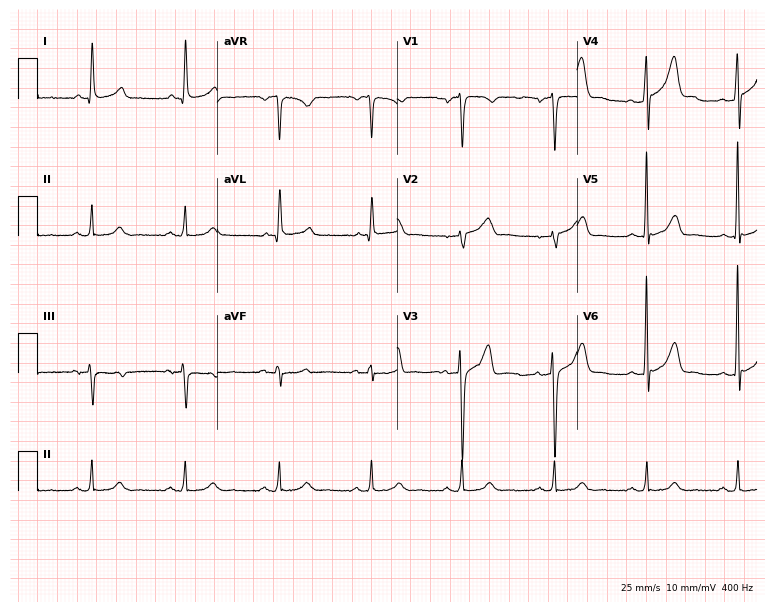
Standard 12-lead ECG recorded from a male patient, 64 years old (7.3-second recording at 400 Hz). Read as a normal ECG.